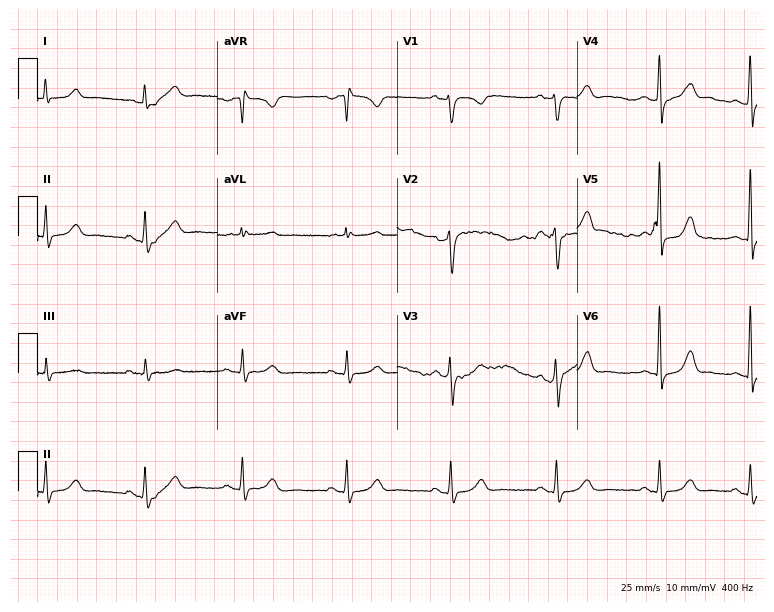
Electrocardiogram (7.3-second recording at 400 Hz), a woman, 48 years old. Overall reading on record: normal ECG.